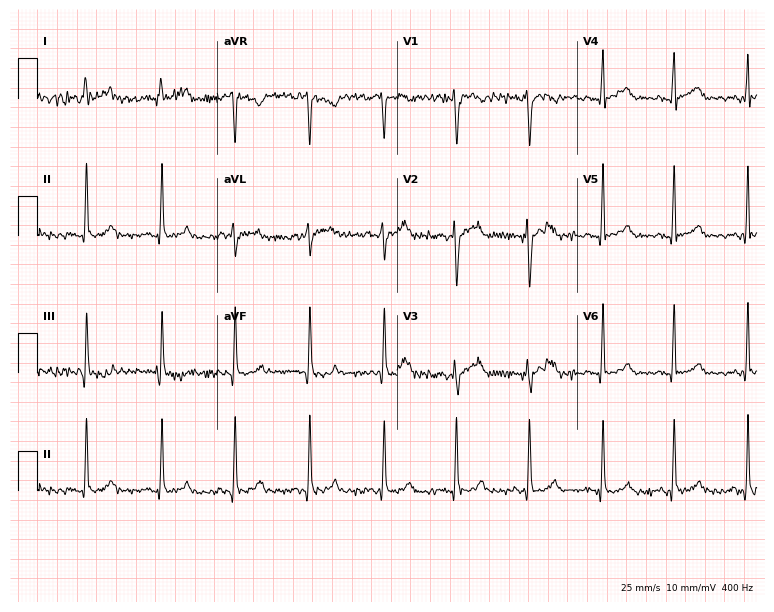
12-lead ECG (7.3-second recording at 400 Hz) from a 30-year-old female. Labelled as a normal ECG.